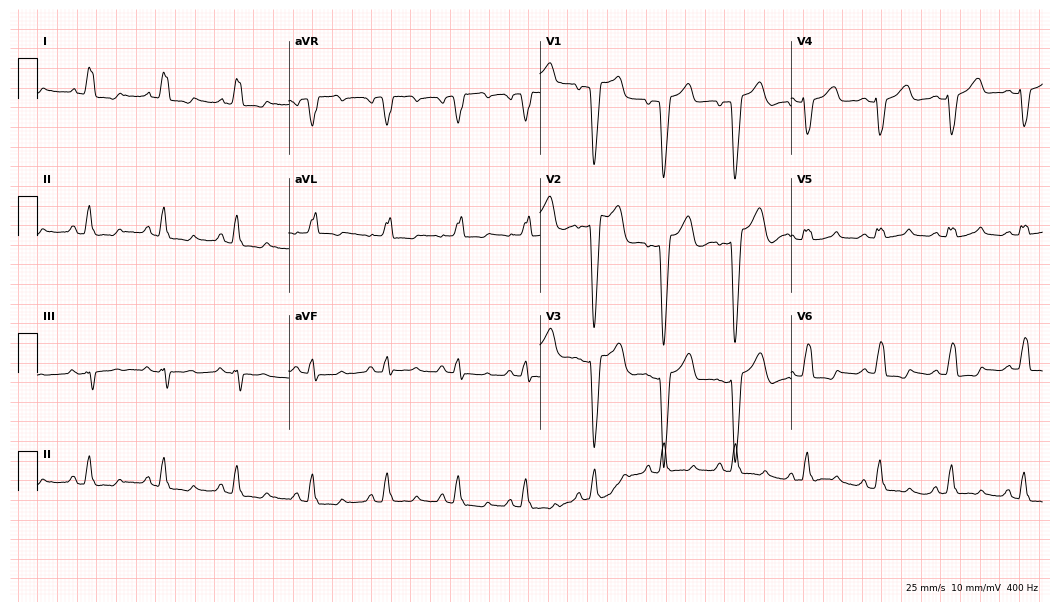
12-lead ECG from a 71-year-old female. Findings include left bundle branch block.